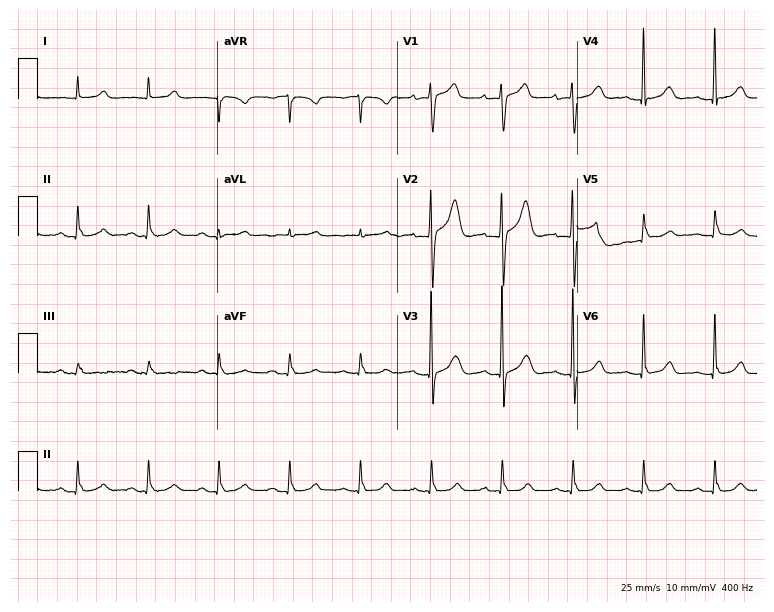
Electrocardiogram, an 84-year-old female. Overall reading on record: normal ECG.